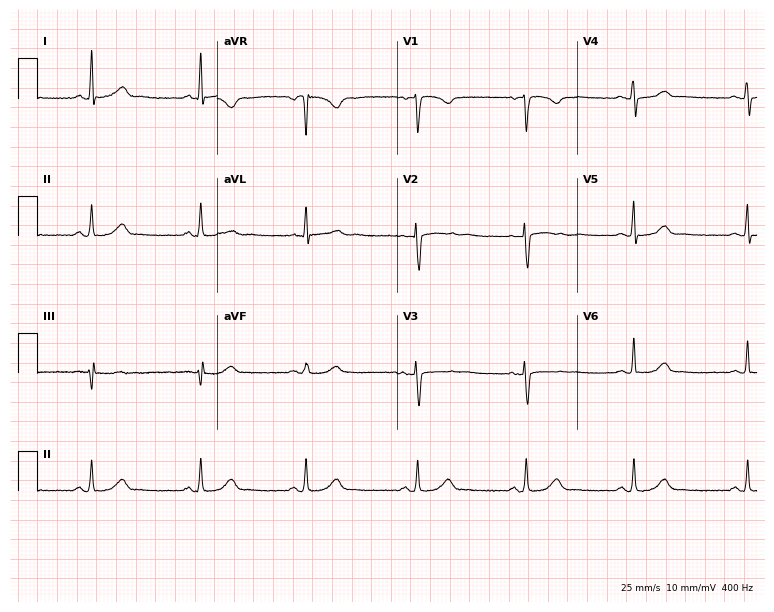
ECG — a female, 54 years old. Labelled as a normal ECG.